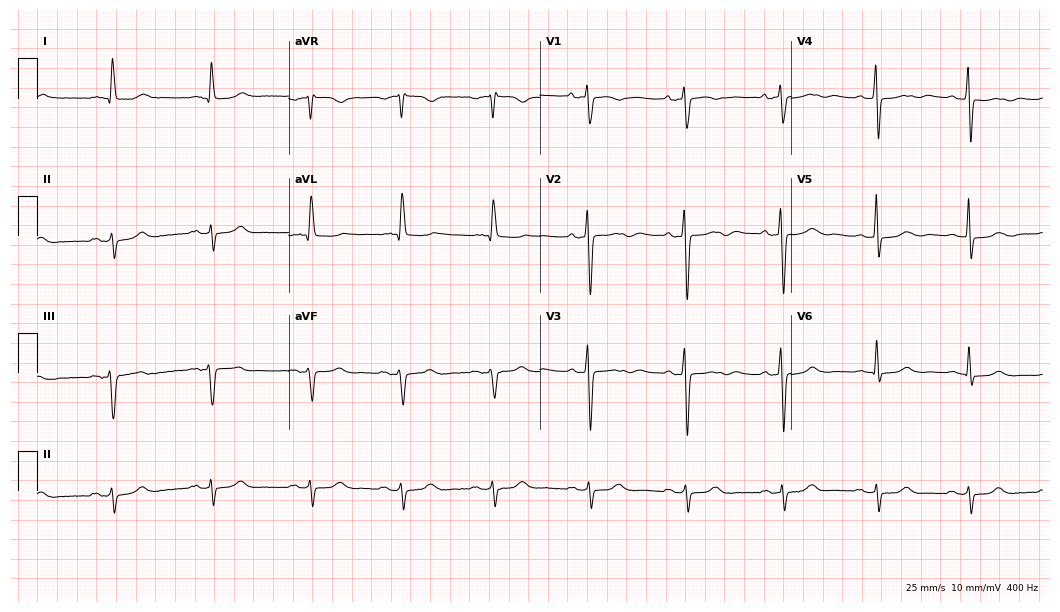
12-lead ECG from an 80-year-old female. Screened for six findings — first-degree AV block, right bundle branch block, left bundle branch block, sinus bradycardia, atrial fibrillation, sinus tachycardia — none is recorded.